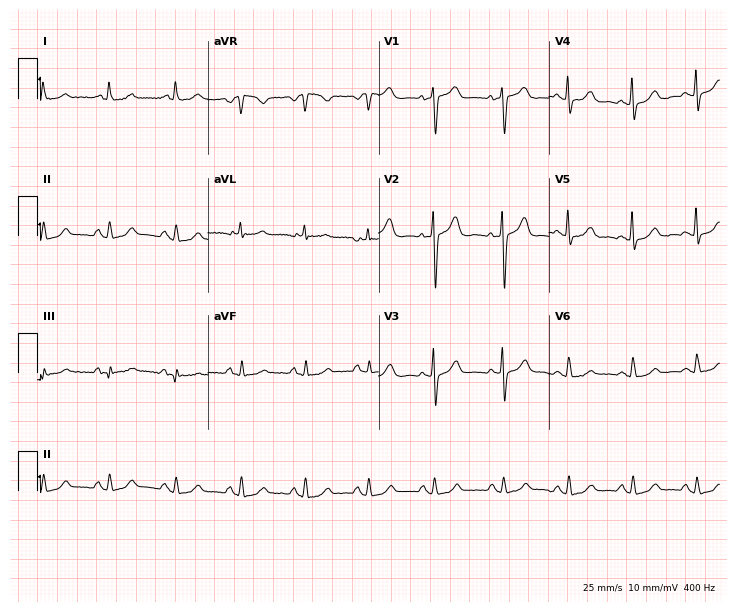
Electrocardiogram, a woman, 52 years old. Of the six screened findings (first-degree AV block, right bundle branch block (RBBB), left bundle branch block (LBBB), sinus bradycardia, atrial fibrillation (AF), sinus tachycardia), none is recorded.